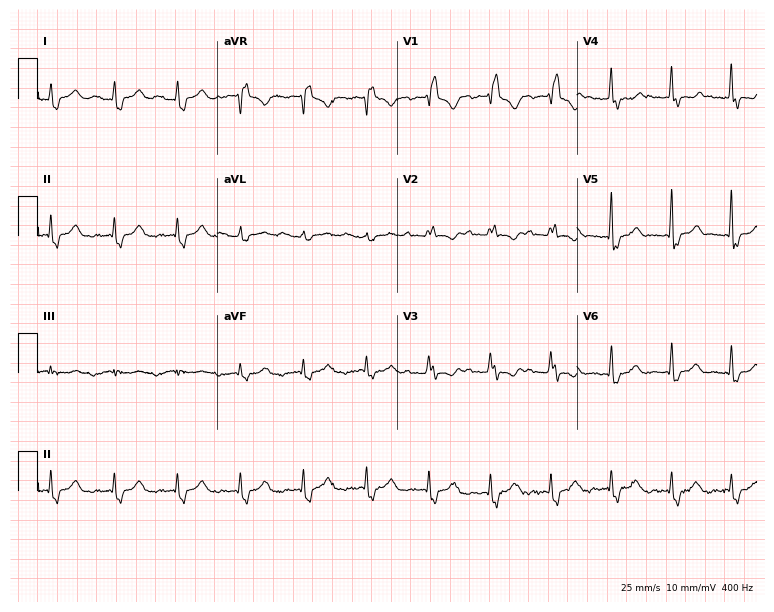
12-lead ECG (7.3-second recording at 400 Hz) from a female patient, 40 years old. Screened for six findings — first-degree AV block, right bundle branch block, left bundle branch block, sinus bradycardia, atrial fibrillation, sinus tachycardia — none is recorded. Only these six findings were labelled.